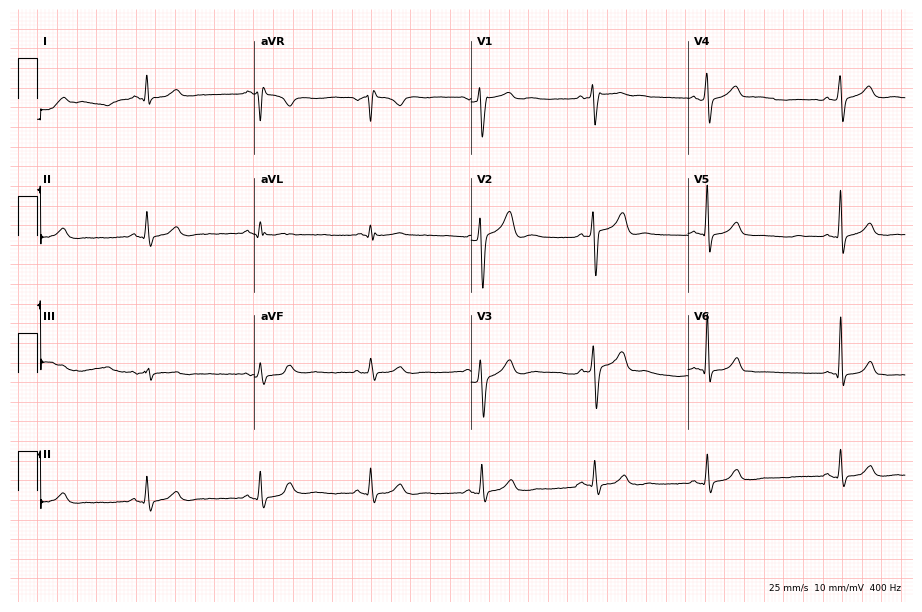
ECG — a 42-year-old male patient. Screened for six findings — first-degree AV block, right bundle branch block, left bundle branch block, sinus bradycardia, atrial fibrillation, sinus tachycardia — none is recorded.